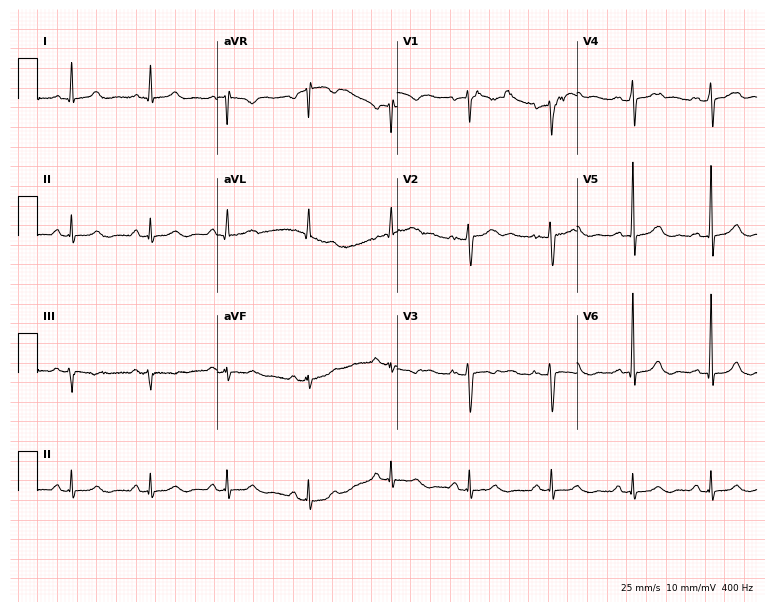
Electrocardiogram, a female patient, 33 years old. Overall reading on record: normal ECG.